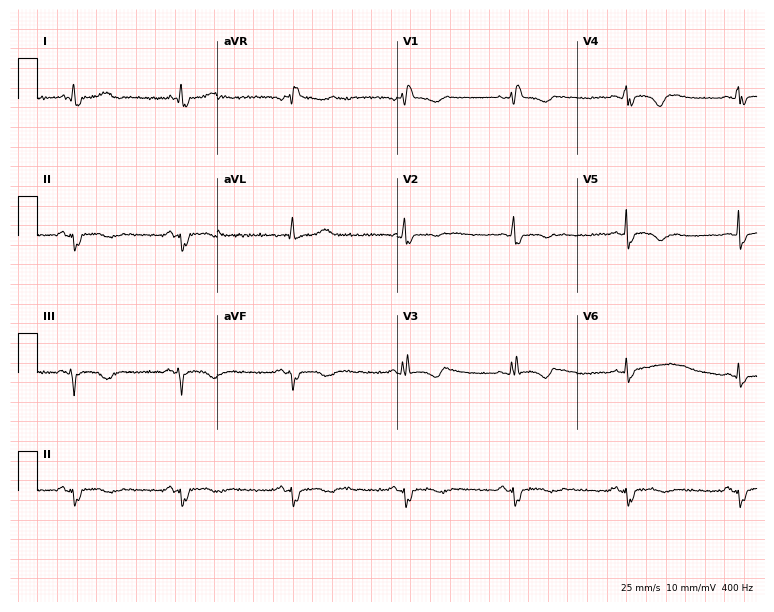
12-lead ECG from a 36-year-old woman. Findings include right bundle branch block.